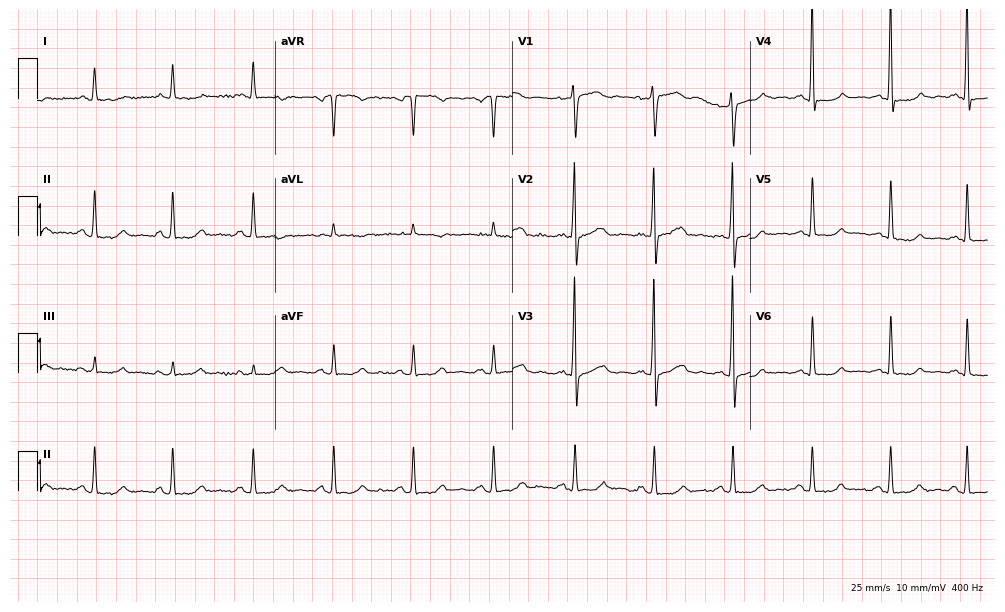
Standard 12-lead ECG recorded from a female, 57 years old (9.7-second recording at 400 Hz). None of these six findings is recorded: first-degree AV block, right bundle branch block, left bundle branch block, sinus bradycardia, atrial fibrillation, sinus tachycardia. Only these six findings were labelled.